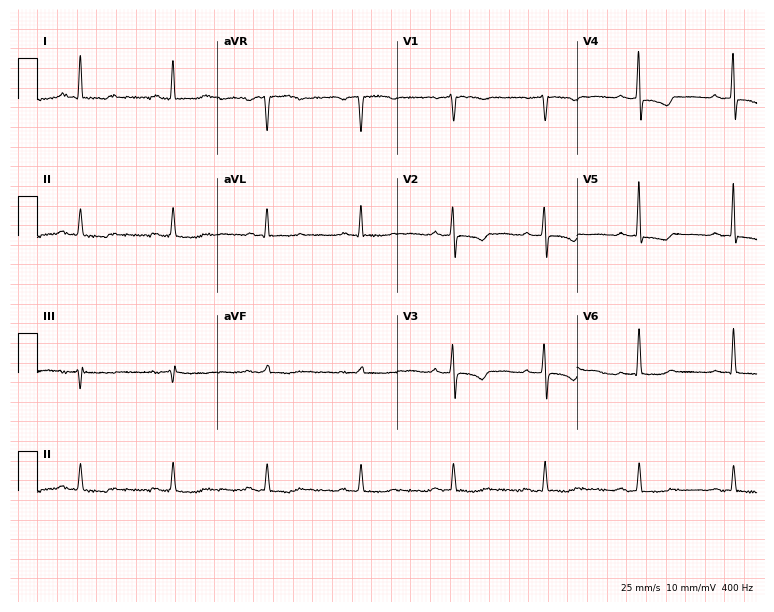
12-lead ECG from a female, 56 years old. Screened for six findings — first-degree AV block, right bundle branch block, left bundle branch block, sinus bradycardia, atrial fibrillation, sinus tachycardia — none is recorded. Other findings, if any, are not listed.